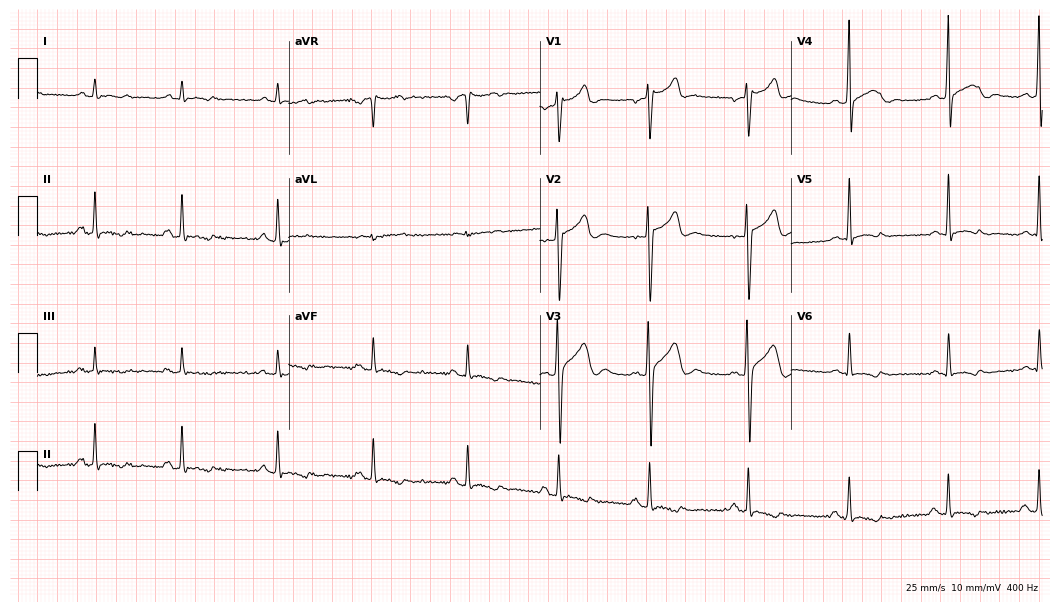
12-lead ECG (10.2-second recording at 400 Hz) from a 25-year-old male patient. Screened for six findings — first-degree AV block, right bundle branch block, left bundle branch block, sinus bradycardia, atrial fibrillation, sinus tachycardia — none is recorded.